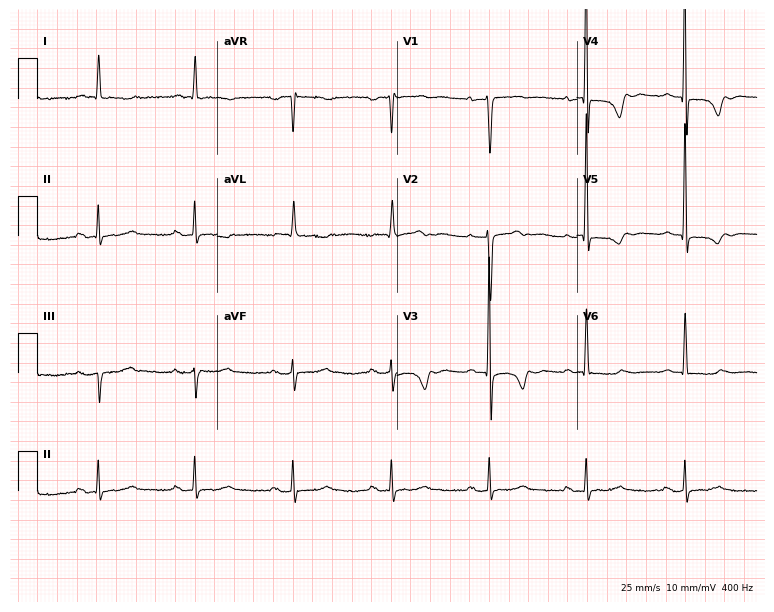
Electrocardiogram (7.3-second recording at 400 Hz), an 82-year-old female patient. Of the six screened findings (first-degree AV block, right bundle branch block (RBBB), left bundle branch block (LBBB), sinus bradycardia, atrial fibrillation (AF), sinus tachycardia), none is recorded. Only these six findings were labelled.